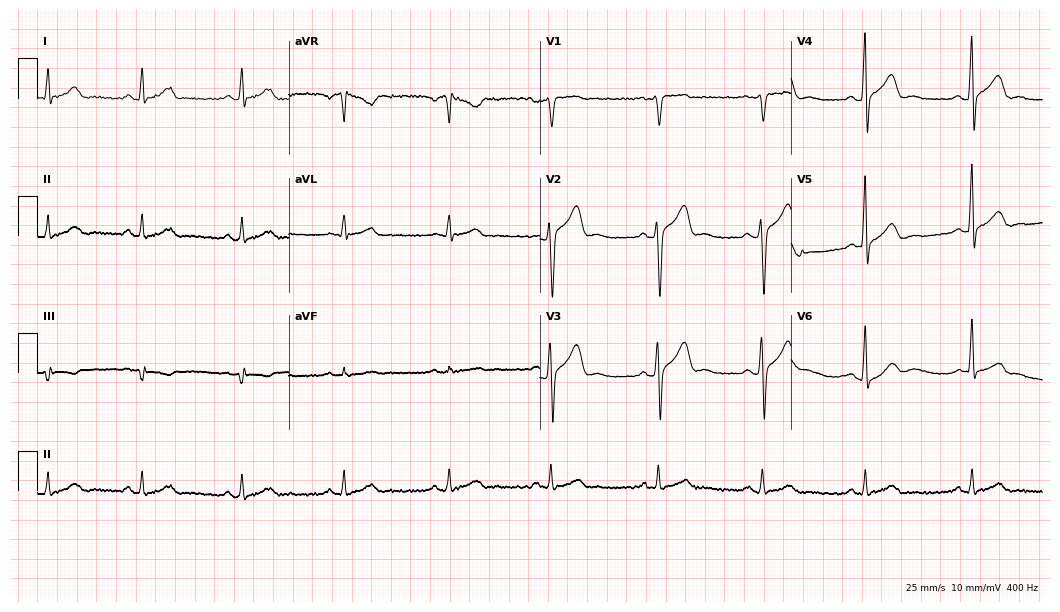
Standard 12-lead ECG recorded from a male, 44 years old (10.2-second recording at 400 Hz). None of these six findings is recorded: first-degree AV block, right bundle branch block (RBBB), left bundle branch block (LBBB), sinus bradycardia, atrial fibrillation (AF), sinus tachycardia. Findings outside these six are not listed.